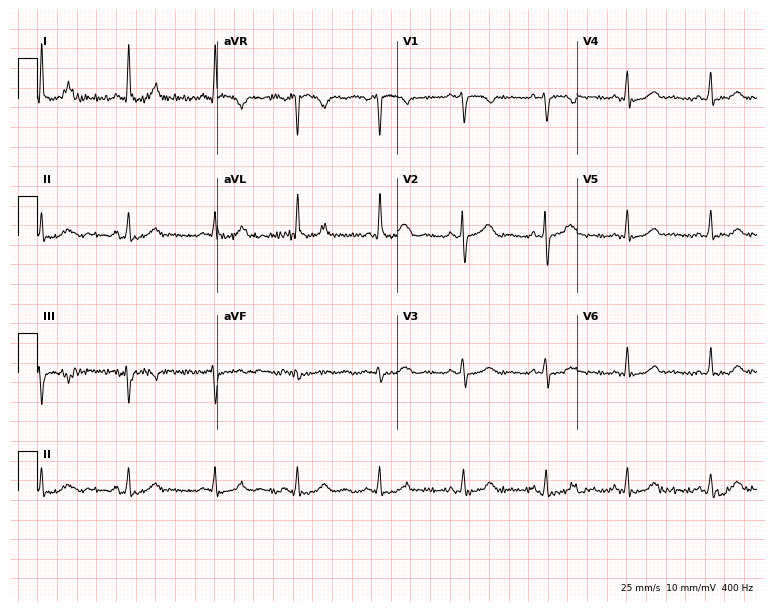
Standard 12-lead ECG recorded from an 80-year-old female (7.3-second recording at 400 Hz). Read as a normal ECG.